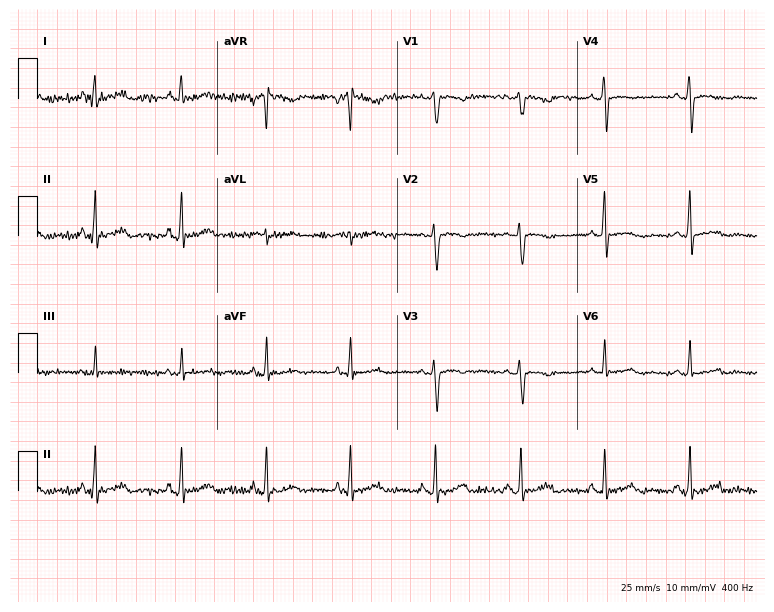
12-lead ECG from a 75-year-old female patient (7.3-second recording at 400 Hz). Recorded interpretation: within normal limits.